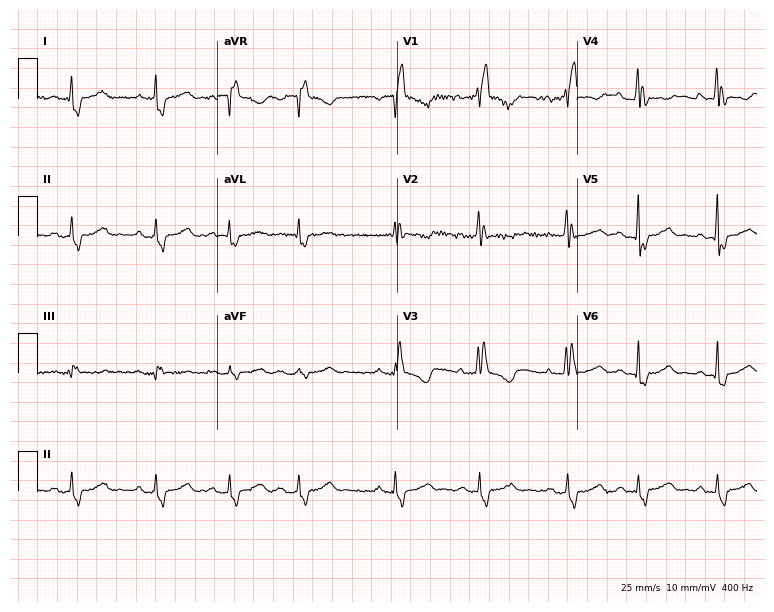
Resting 12-lead electrocardiogram. Patient: a woman, 46 years old. The tracing shows right bundle branch block (RBBB).